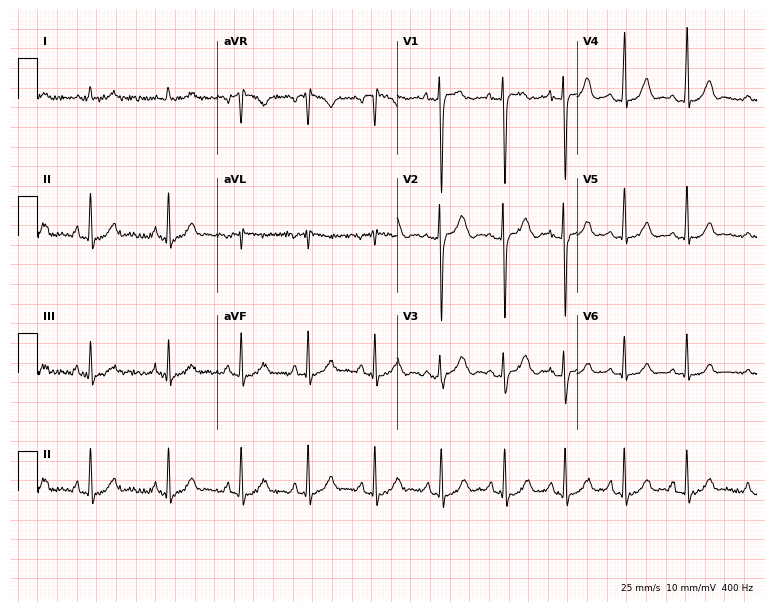
12-lead ECG from a 26-year-old female patient. No first-degree AV block, right bundle branch block, left bundle branch block, sinus bradycardia, atrial fibrillation or sinus tachycardia recorded for this tracing.